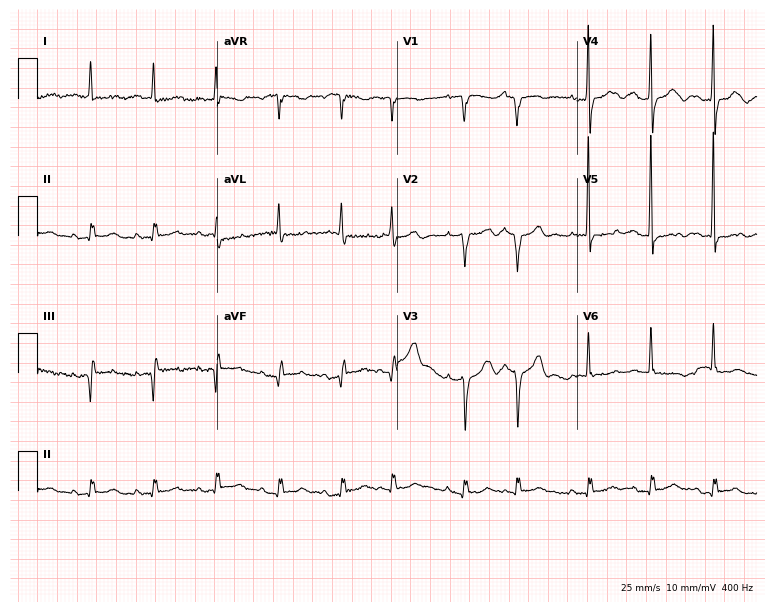
ECG (7.3-second recording at 400 Hz) — a woman, 82 years old. Screened for six findings — first-degree AV block, right bundle branch block, left bundle branch block, sinus bradycardia, atrial fibrillation, sinus tachycardia — none is recorded.